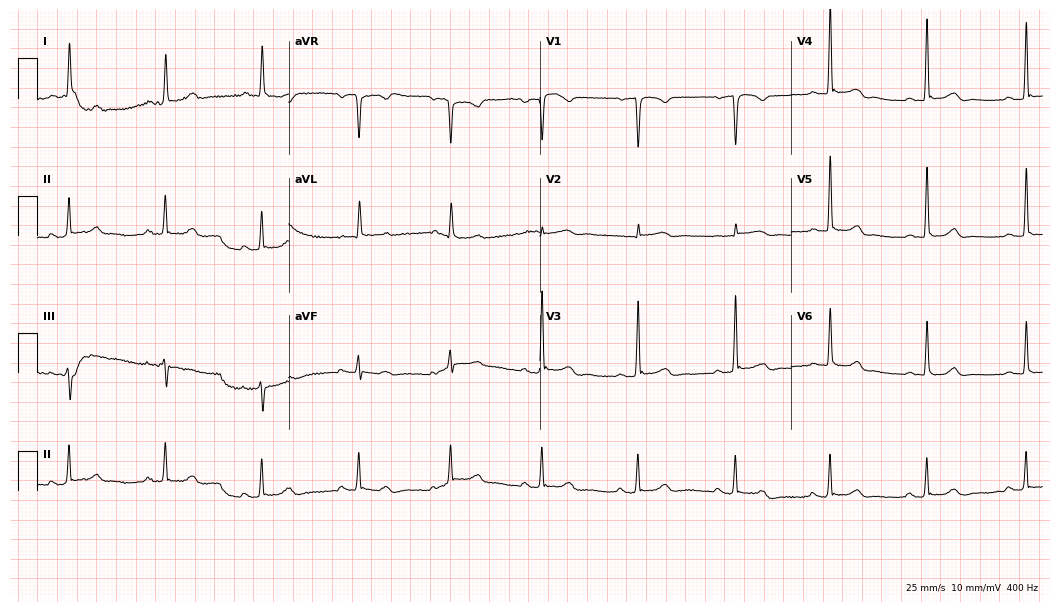
Electrocardiogram (10.2-second recording at 400 Hz), a 69-year-old woman. Overall reading on record: normal ECG.